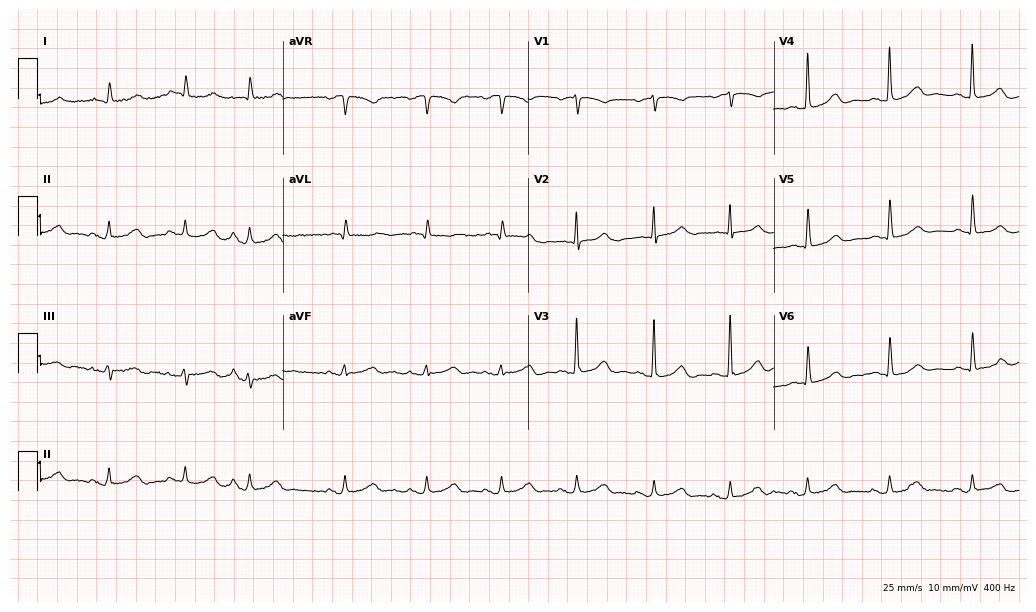
ECG (10-second recording at 400 Hz) — a 79-year-old woman. Labelled as a normal ECG.